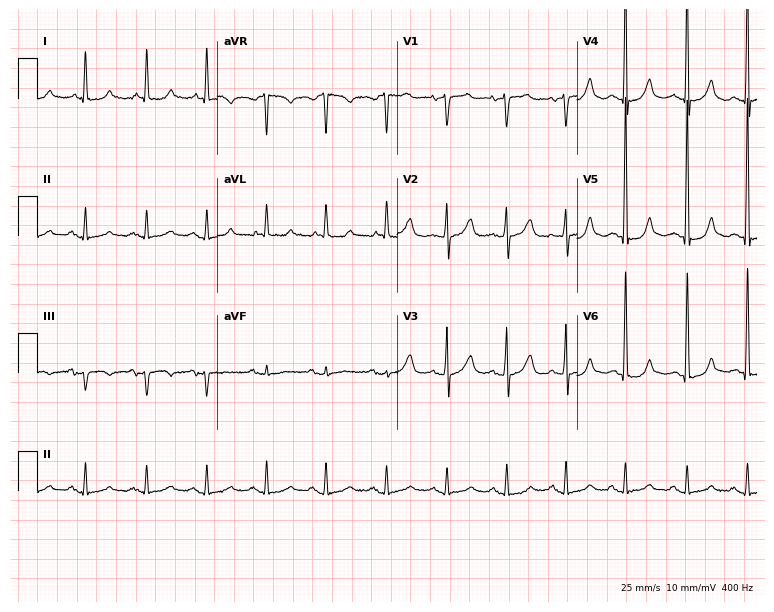
ECG (7.3-second recording at 400 Hz) — an 85-year-old woman. Screened for six findings — first-degree AV block, right bundle branch block, left bundle branch block, sinus bradycardia, atrial fibrillation, sinus tachycardia — none is recorded. Findings outside these six are not listed.